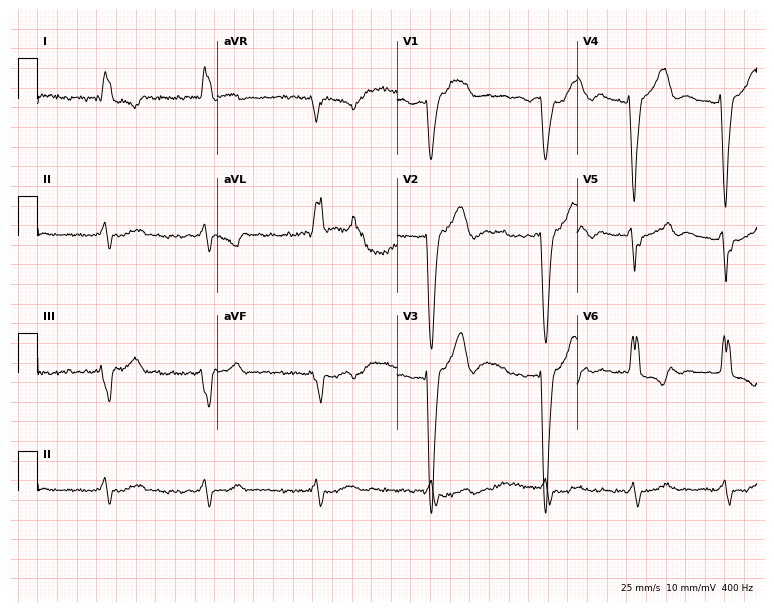
ECG (7.3-second recording at 400 Hz) — an 82-year-old male. Findings include left bundle branch block (LBBB), atrial fibrillation (AF).